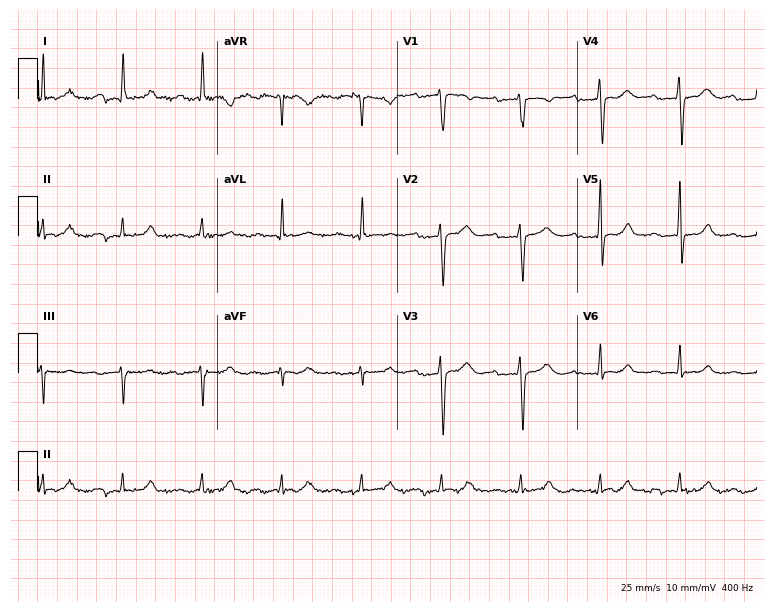
Electrocardiogram, a woman, 75 years old. Interpretation includes first-degree AV block.